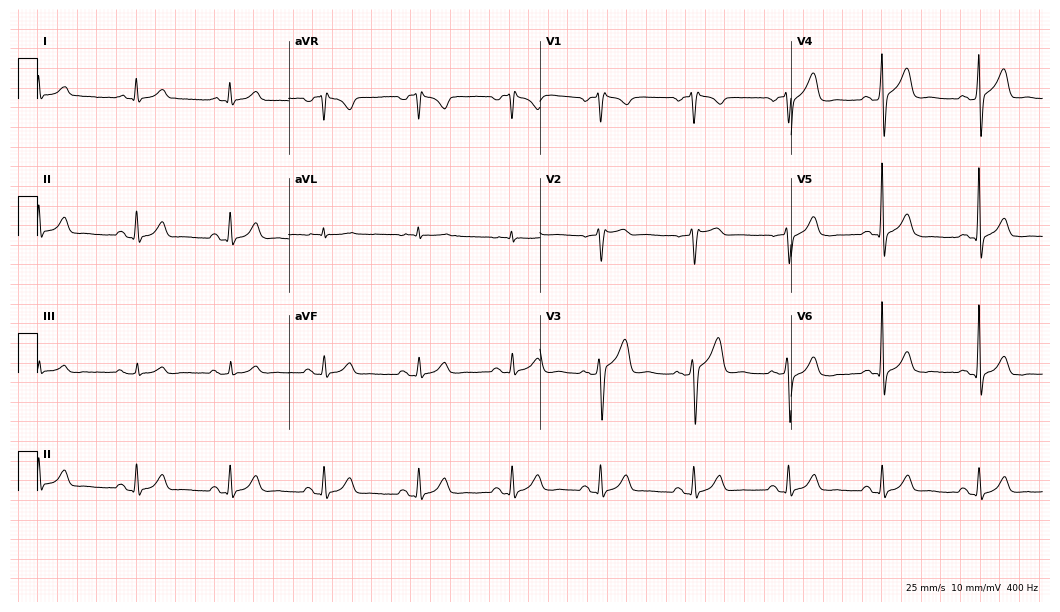
Electrocardiogram (10.2-second recording at 400 Hz), a male, 54 years old. Of the six screened findings (first-degree AV block, right bundle branch block (RBBB), left bundle branch block (LBBB), sinus bradycardia, atrial fibrillation (AF), sinus tachycardia), none is recorded. Only these six findings were labelled.